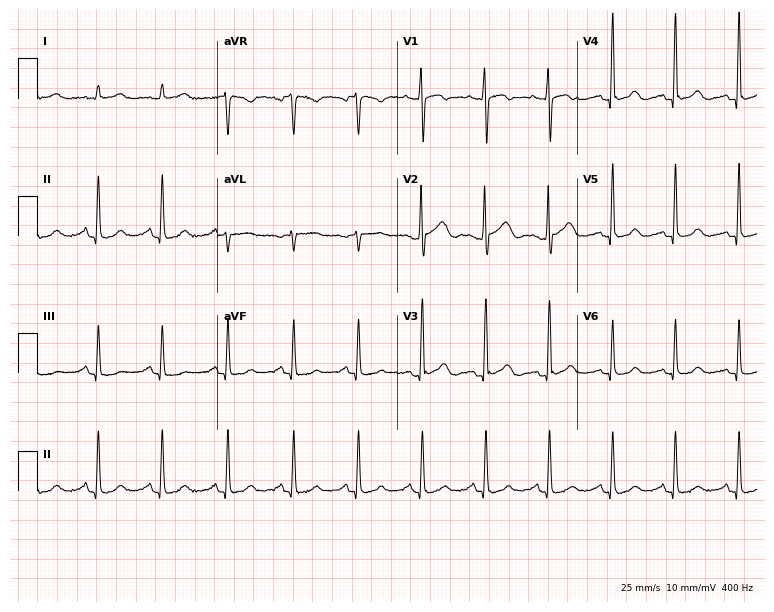
Electrocardiogram, a 63-year-old female. Overall reading on record: normal ECG.